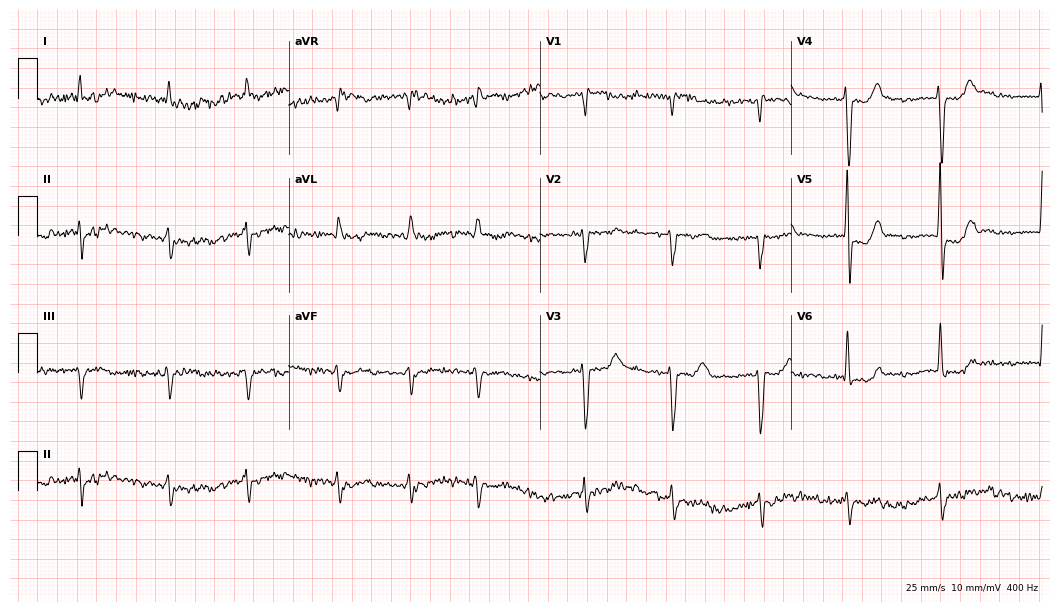
Standard 12-lead ECG recorded from an 82-year-old male. The tracing shows atrial fibrillation (AF).